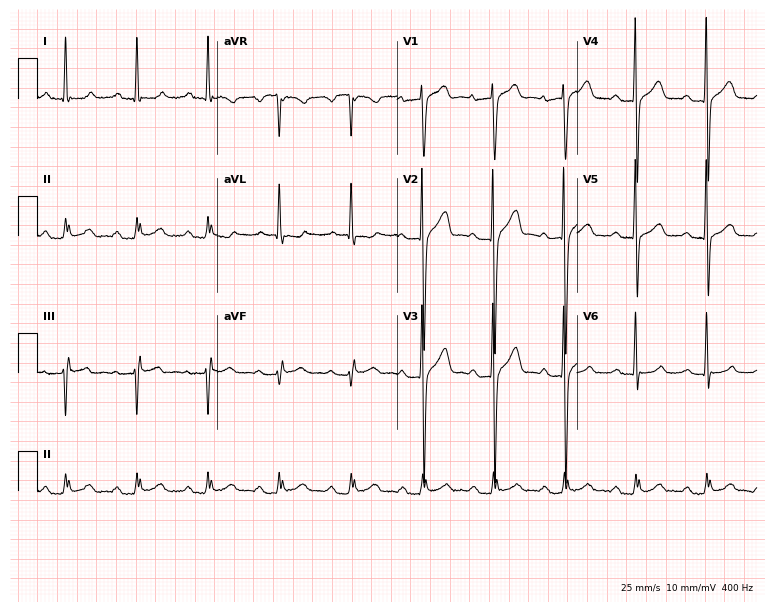
Electrocardiogram, a 59-year-old male patient. Interpretation includes first-degree AV block.